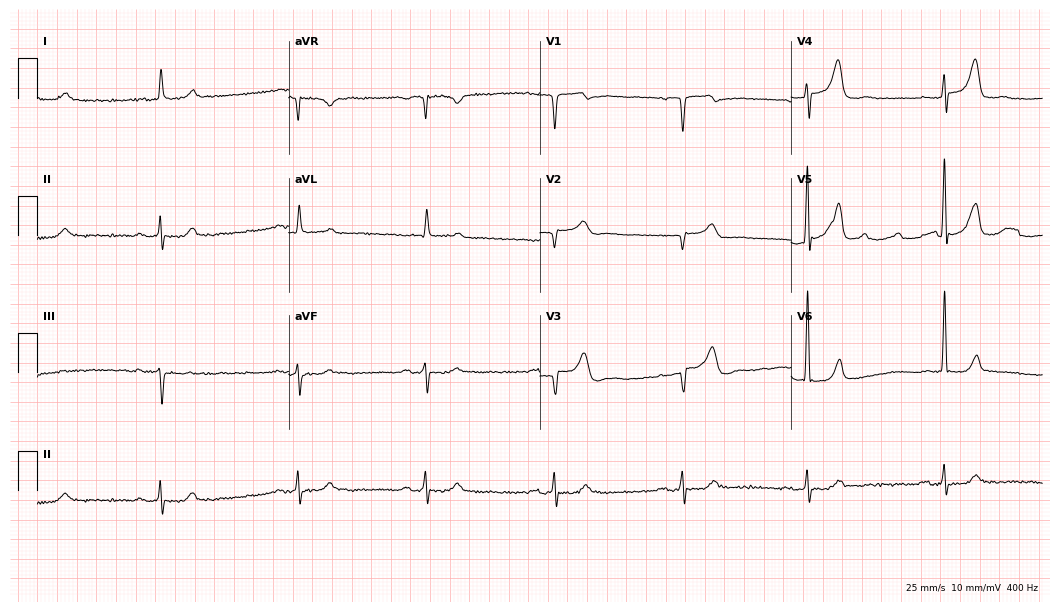
Resting 12-lead electrocardiogram. Patient: an 85-year-old male. The tracing shows first-degree AV block, sinus bradycardia (a sinus rate of 50 beats per minute or less).